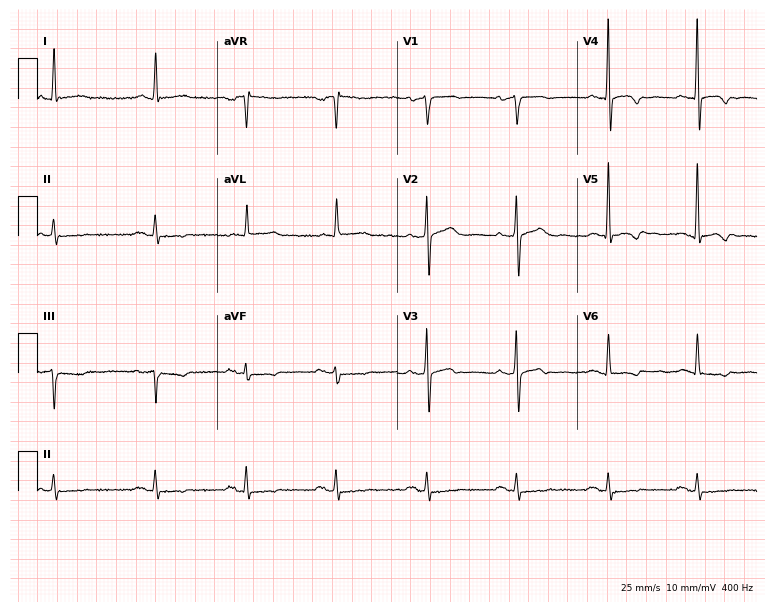
12-lead ECG (7.3-second recording at 400 Hz) from a 79-year-old female patient. Screened for six findings — first-degree AV block, right bundle branch block, left bundle branch block, sinus bradycardia, atrial fibrillation, sinus tachycardia — none is recorded. Only these six findings were labelled.